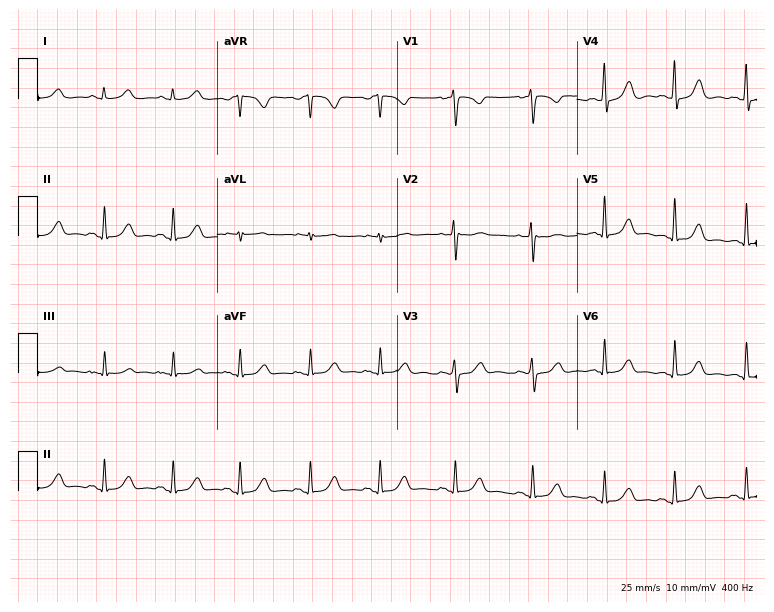
12-lead ECG (7.3-second recording at 400 Hz) from a 29-year-old female. Screened for six findings — first-degree AV block, right bundle branch block, left bundle branch block, sinus bradycardia, atrial fibrillation, sinus tachycardia — none is recorded.